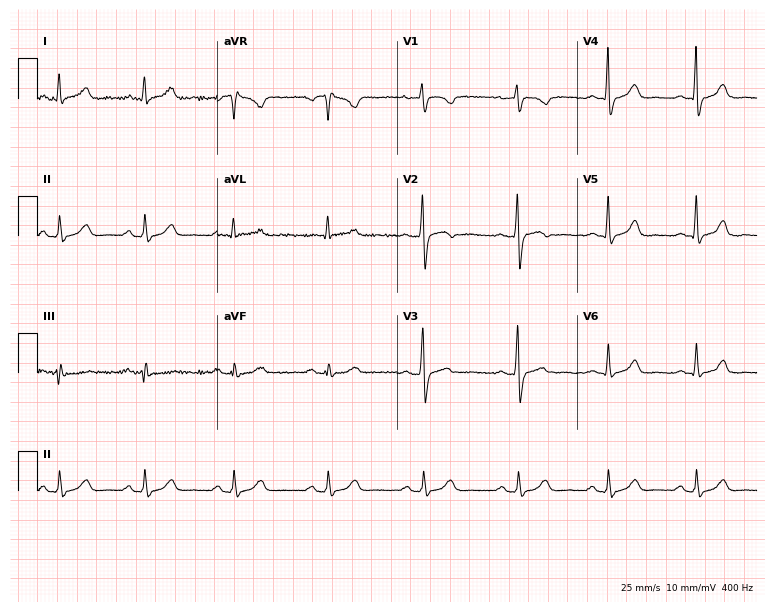
ECG (7.3-second recording at 400 Hz) — a 38-year-old female. Labelled as a normal ECG.